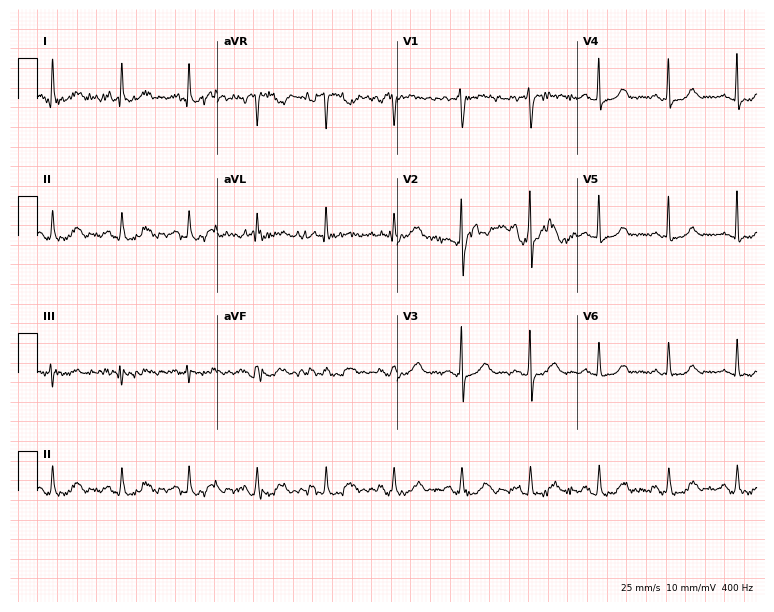
Resting 12-lead electrocardiogram. Patient: a 55-year-old woman. Read as a normal ECG.